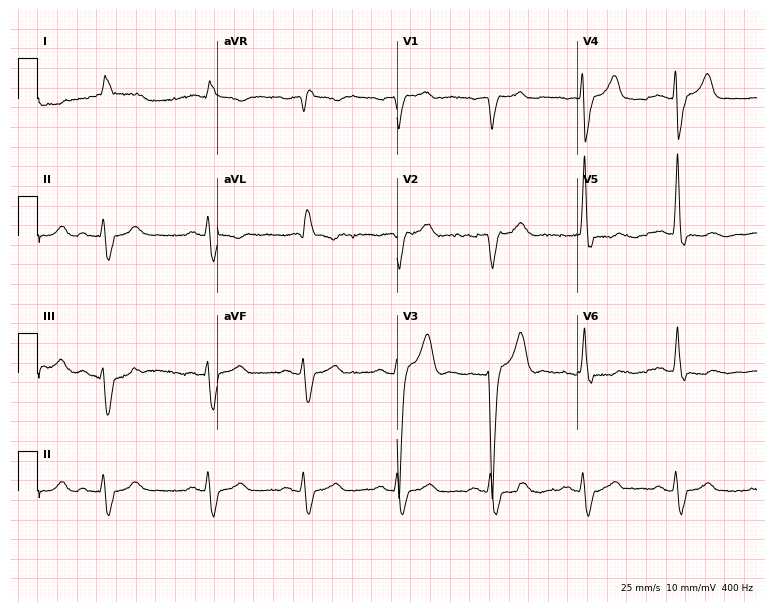
Resting 12-lead electrocardiogram (7.3-second recording at 400 Hz). Patient: a 68-year-old male. The tracing shows left bundle branch block (LBBB).